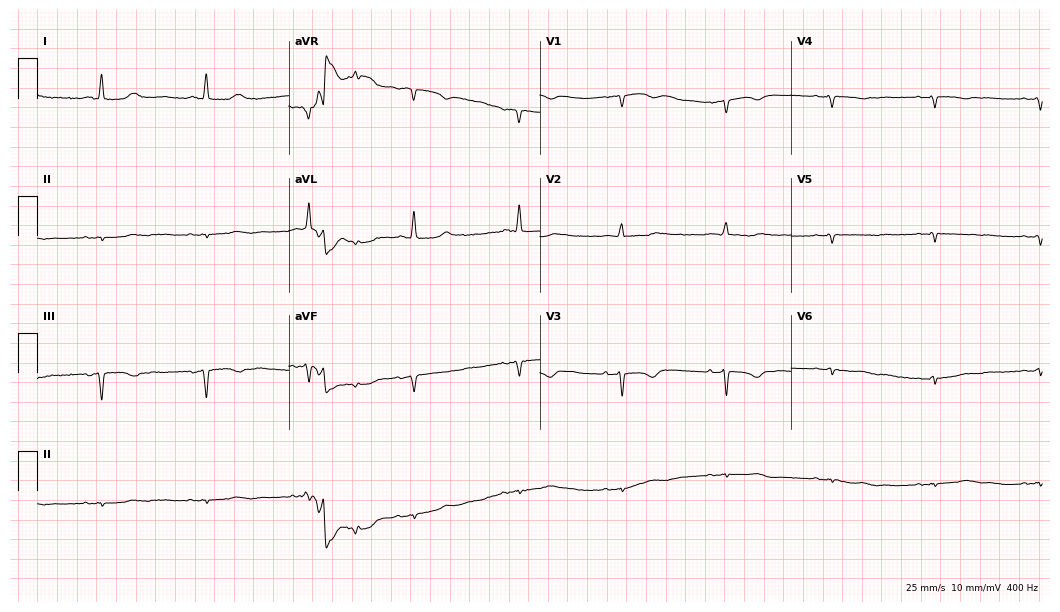
Electrocardiogram (10.2-second recording at 400 Hz), a female patient, 75 years old. Of the six screened findings (first-degree AV block, right bundle branch block, left bundle branch block, sinus bradycardia, atrial fibrillation, sinus tachycardia), none is recorded.